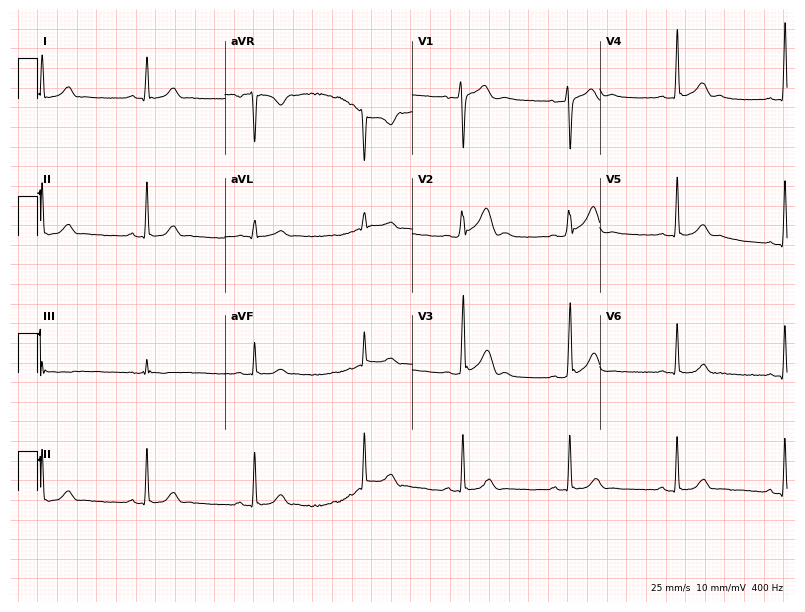
Resting 12-lead electrocardiogram. Patient: a male, 25 years old. Read as a normal ECG.